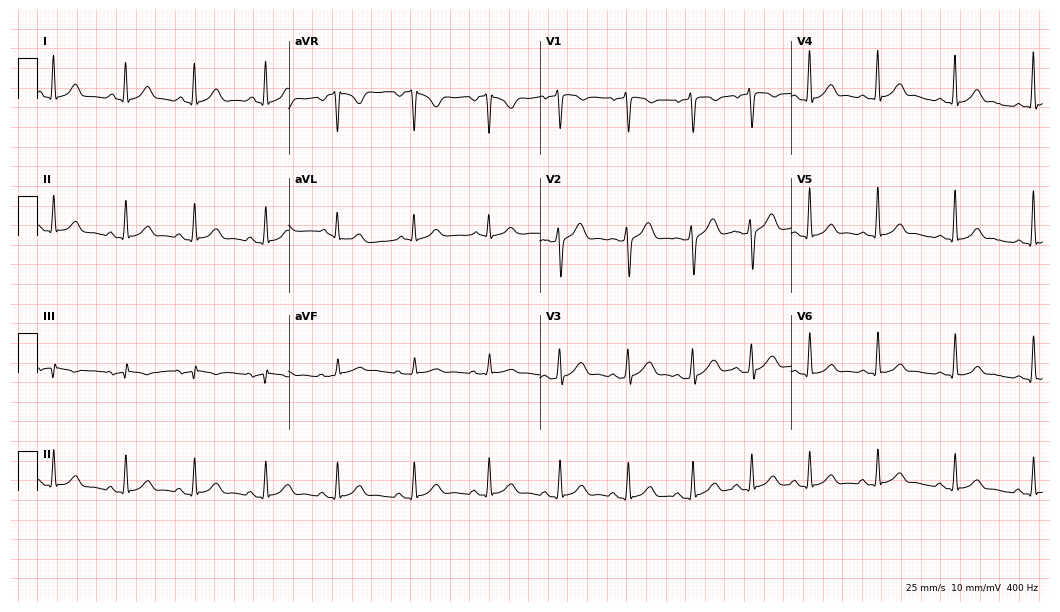
12-lead ECG from a 41-year-old male. Recorded interpretation: within normal limits.